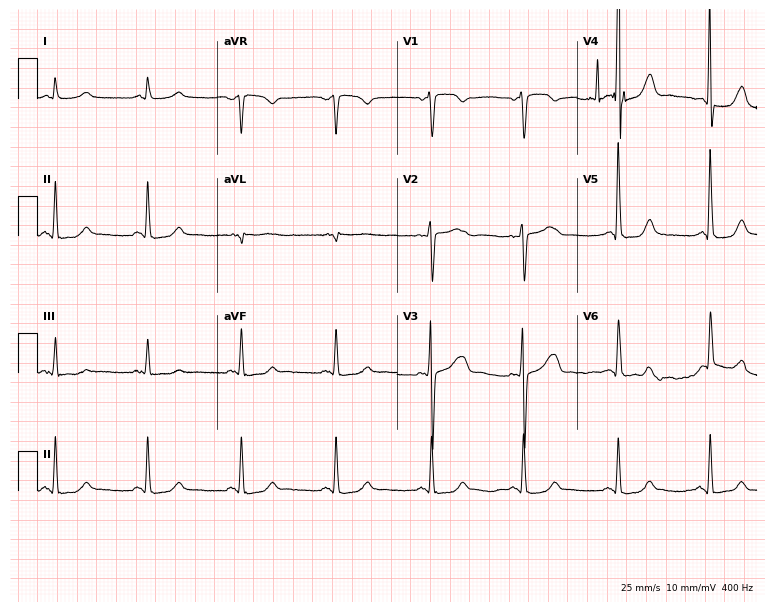
Electrocardiogram, a man, 63 years old. Of the six screened findings (first-degree AV block, right bundle branch block, left bundle branch block, sinus bradycardia, atrial fibrillation, sinus tachycardia), none is recorded. Findings outside these six are not listed.